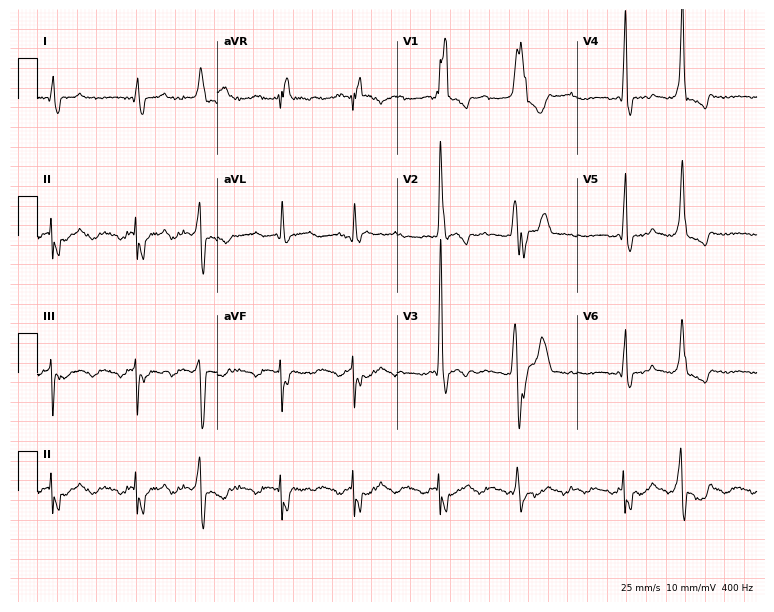
ECG (7.3-second recording at 400 Hz) — a male patient, 84 years old. Findings include right bundle branch block, atrial fibrillation.